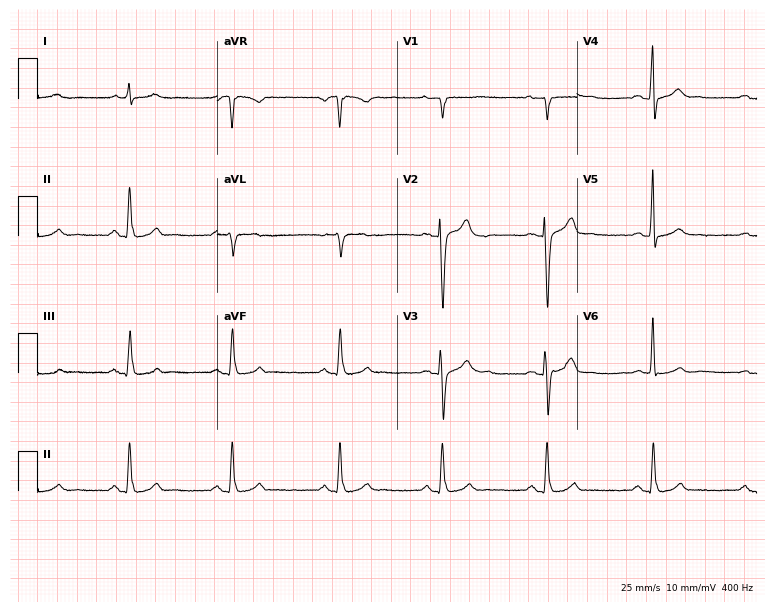
12-lead ECG (7.3-second recording at 400 Hz) from a man, 42 years old. Labelled as a normal ECG.